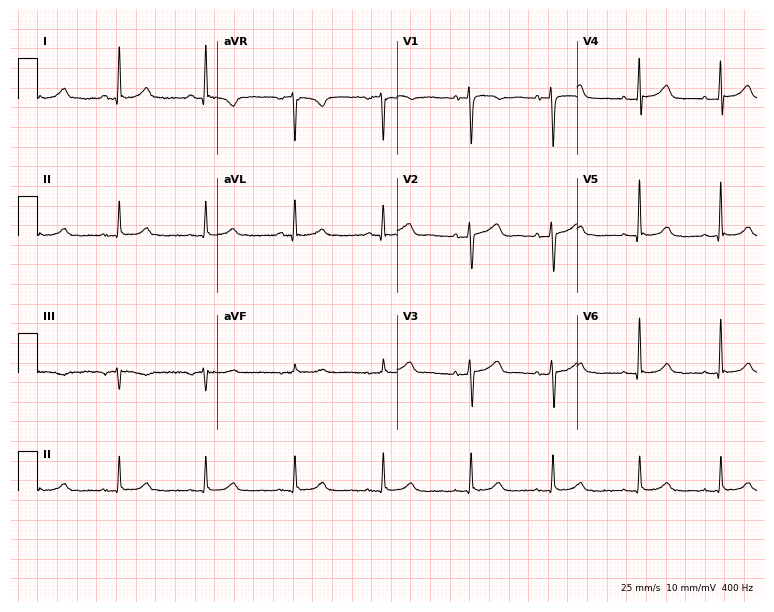
Electrocardiogram (7.3-second recording at 400 Hz), a 73-year-old female. Overall reading on record: normal ECG.